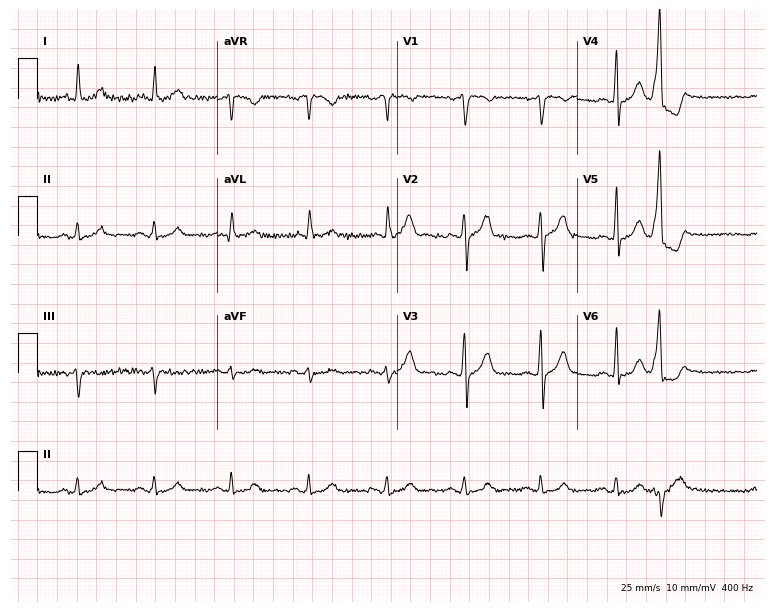
ECG — a man, 57 years old. Screened for six findings — first-degree AV block, right bundle branch block, left bundle branch block, sinus bradycardia, atrial fibrillation, sinus tachycardia — none is recorded. Findings outside these six are not listed.